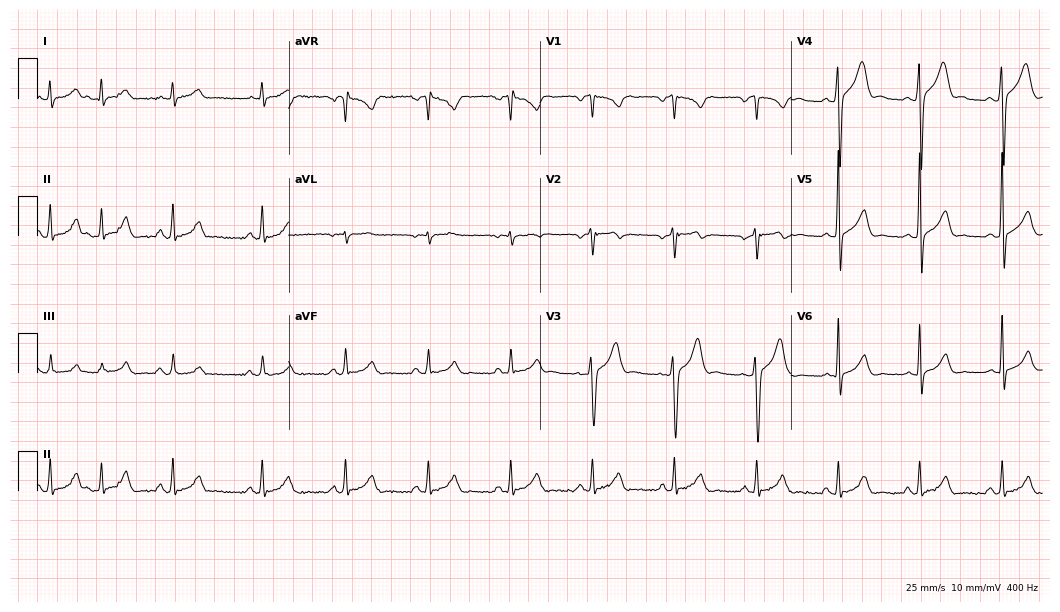
Electrocardiogram, a 28-year-old man. Overall reading on record: normal ECG.